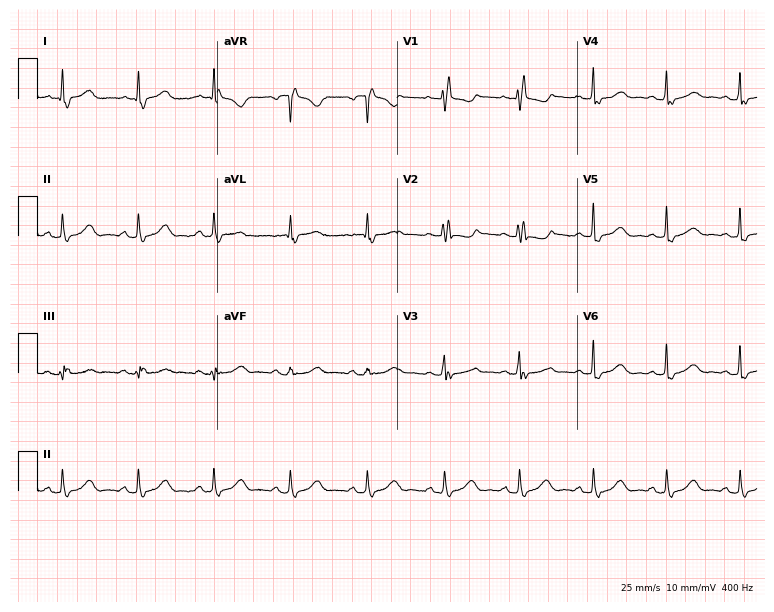
12-lead ECG from a woman, 51 years old. Screened for six findings — first-degree AV block, right bundle branch block, left bundle branch block, sinus bradycardia, atrial fibrillation, sinus tachycardia — none is recorded.